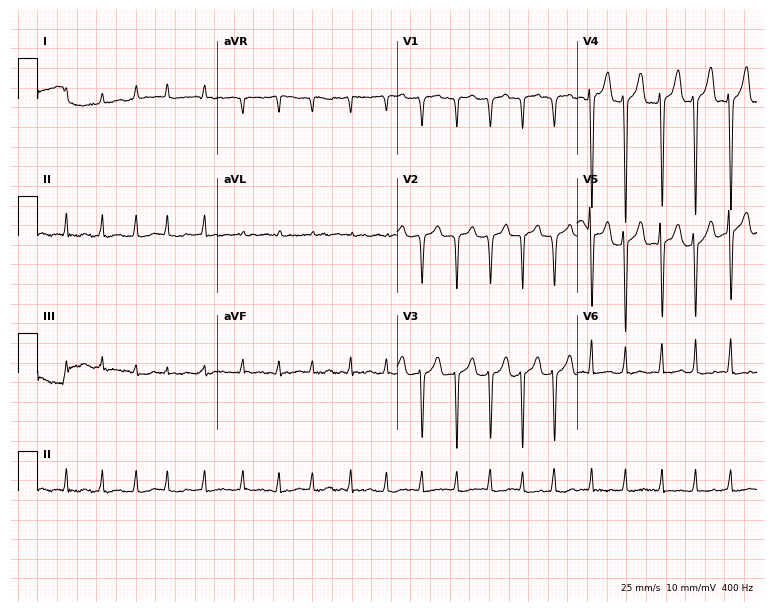
Standard 12-lead ECG recorded from a male, 77 years old. None of these six findings is recorded: first-degree AV block, right bundle branch block, left bundle branch block, sinus bradycardia, atrial fibrillation, sinus tachycardia.